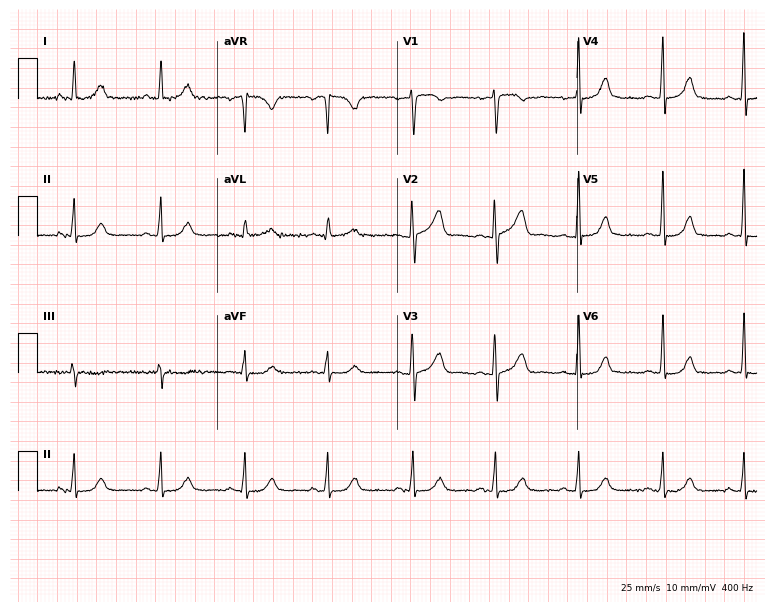
ECG — a female, 29 years old. Screened for six findings — first-degree AV block, right bundle branch block, left bundle branch block, sinus bradycardia, atrial fibrillation, sinus tachycardia — none is recorded.